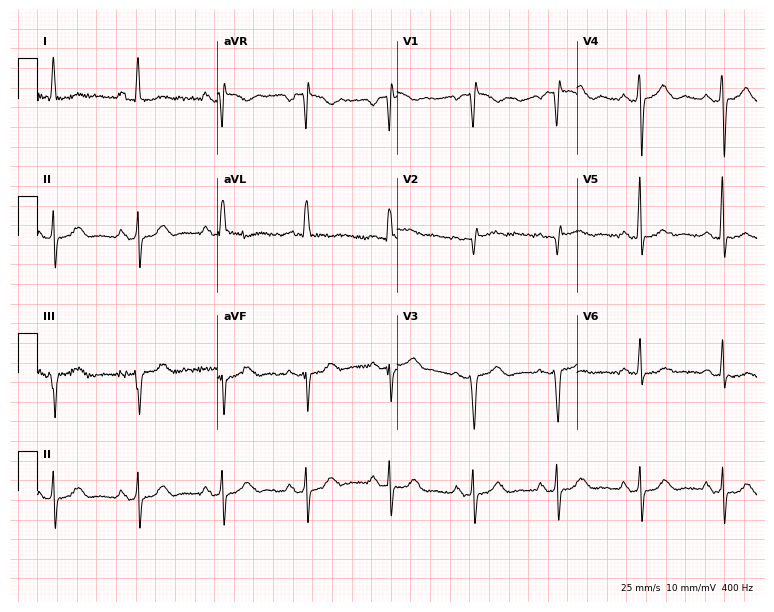
12-lead ECG from a 66-year-old female (7.3-second recording at 400 Hz). No first-degree AV block, right bundle branch block, left bundle branch block, sinus bradycardia, atrial fibrillation or sinus tachycardia recorded for this tracing.